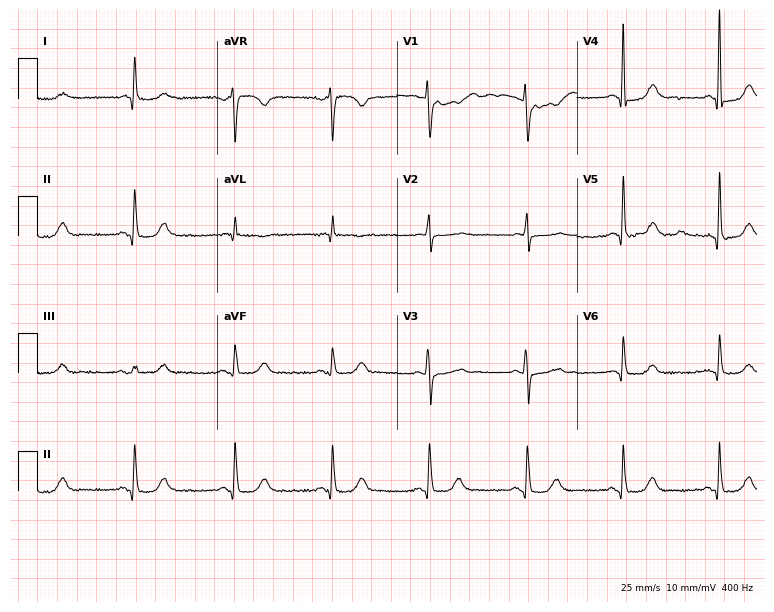
Electrocardiogram, a 79-year-old female patient. Overall reading on record: normal ECG.